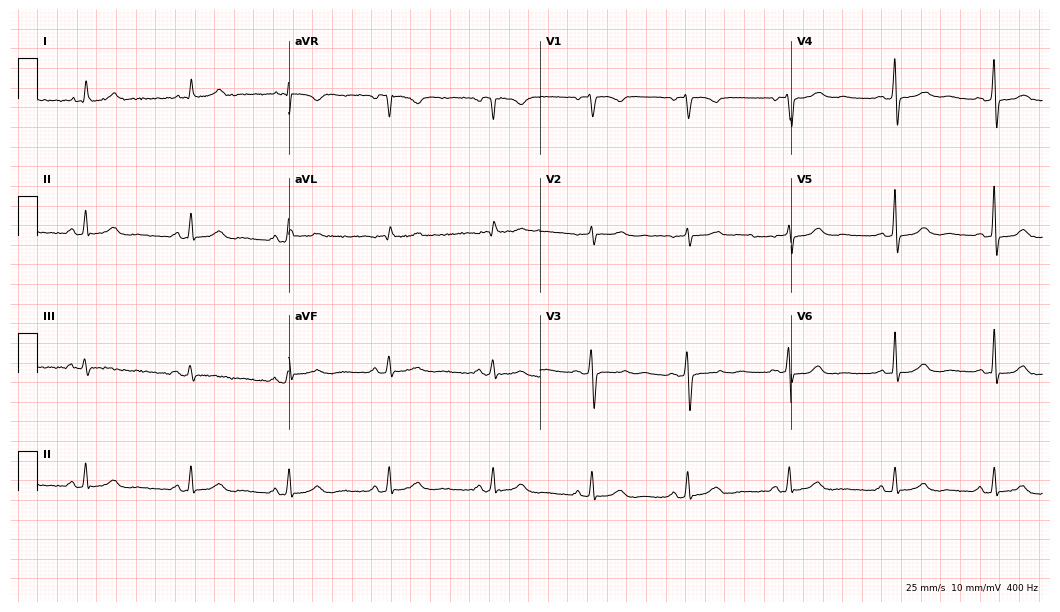
Standard 12-lead ECG recorded from a female patient, 55 years old. Read as a normal ECG.